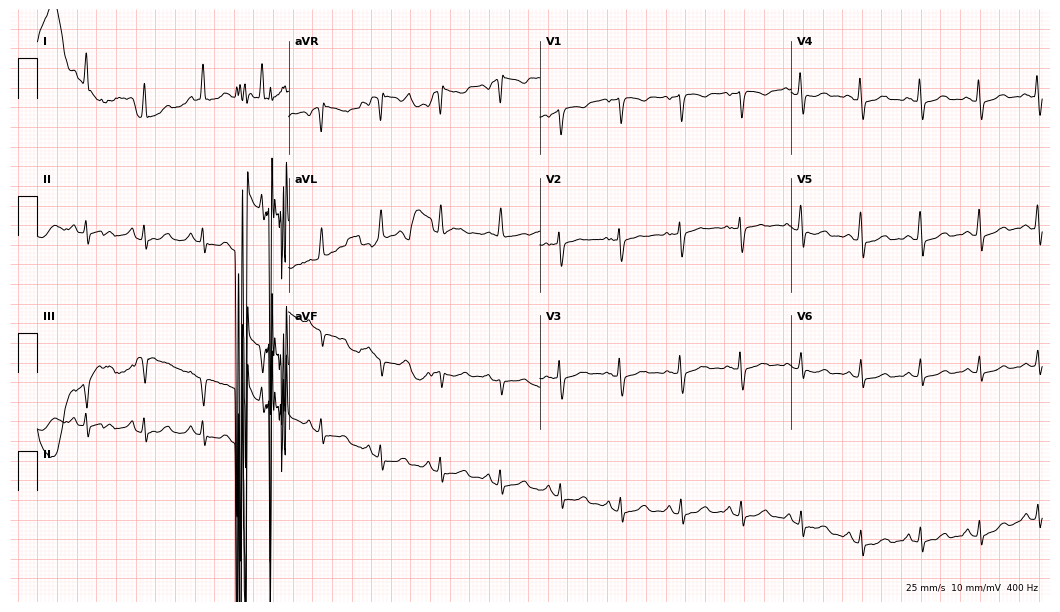
Resting 12-lead electrocardiogram. Patient: a female, 54 years old. None of these six findings is recorded: first-degree AV block, right bundle branch block, left bundle branch block, sinus bradycardia, atrial fibrillation, sinus tachycardia.